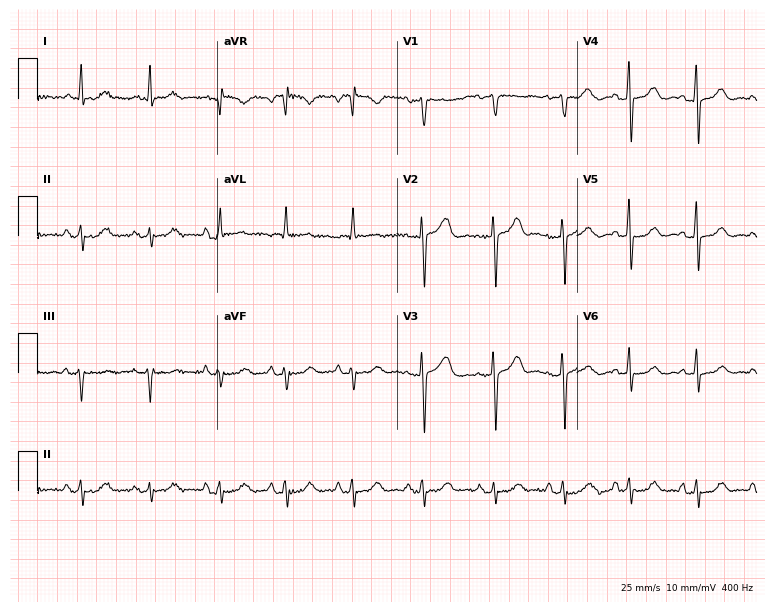
Electrocardiogram (7.3-second recording at 400 Hz), a 64-year-old female patient. Of the six screened findings (first-degree AV block, right bundle branch block (RBBB), left bundle branch block (LBBB), sinus bradycardia, atrial fibrillation (AF), sinus tachycardia), none is recorded.